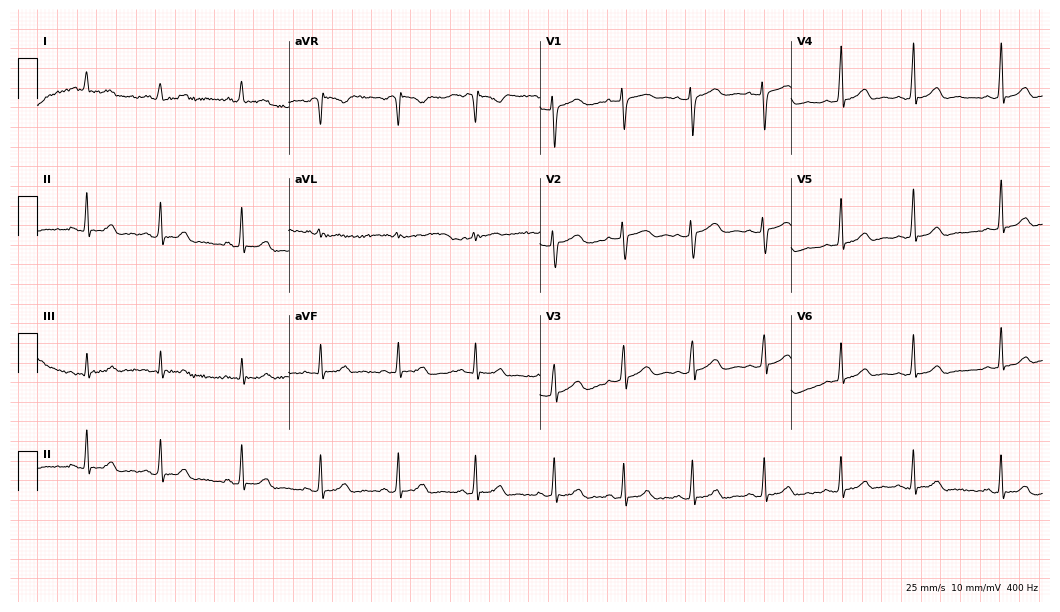
Resting 12-lead electrocardiogram. Patient: a 21-year-old female. None of these six findings is recorded: first-degree AV block, right bundle branch block, left bundle branch block, sinus bradycardia, atrial fibrillation, sinus tachycardia. Findings outside these six are not listed.